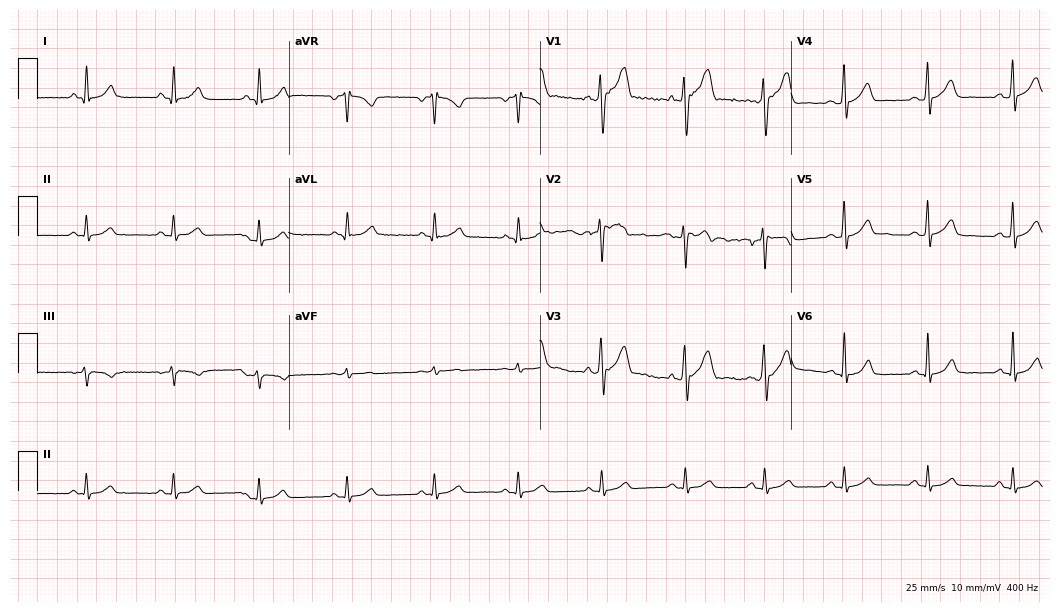
Electrocardiogram (10.2-second recording at 400 Hz), a 38-year-old man. Overall reading on record: normal ECG.